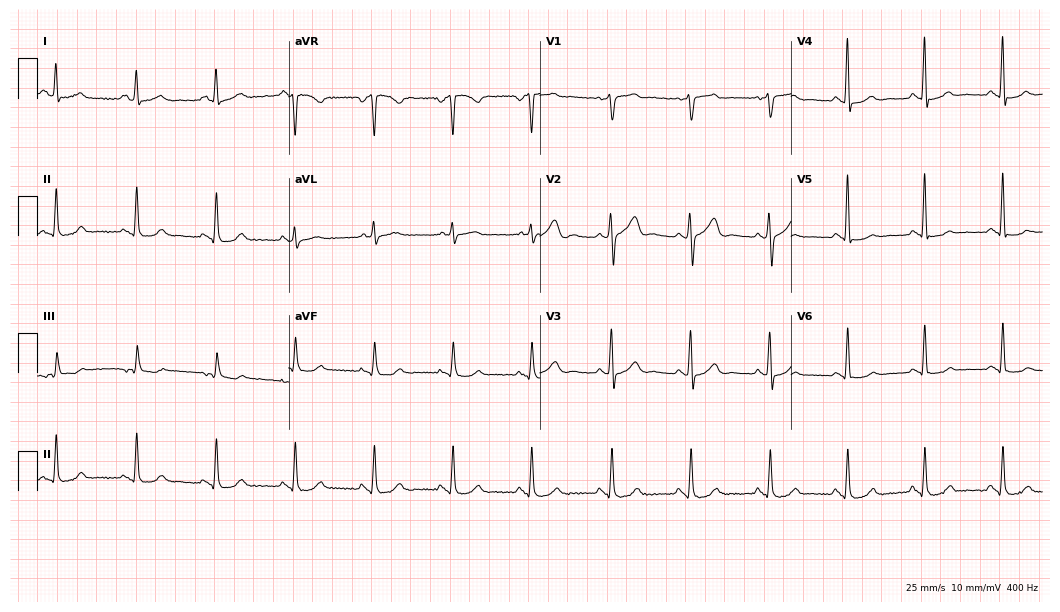
Electrocardiogram, a 57-year-old male. Of the six screened findings (first-degree AV block, right bundle branch block, left bundle branch block, sinus bradycardia, atrial fibrillation, sinus tachycardia), none is recorded. Other findings, if any, are not listed.